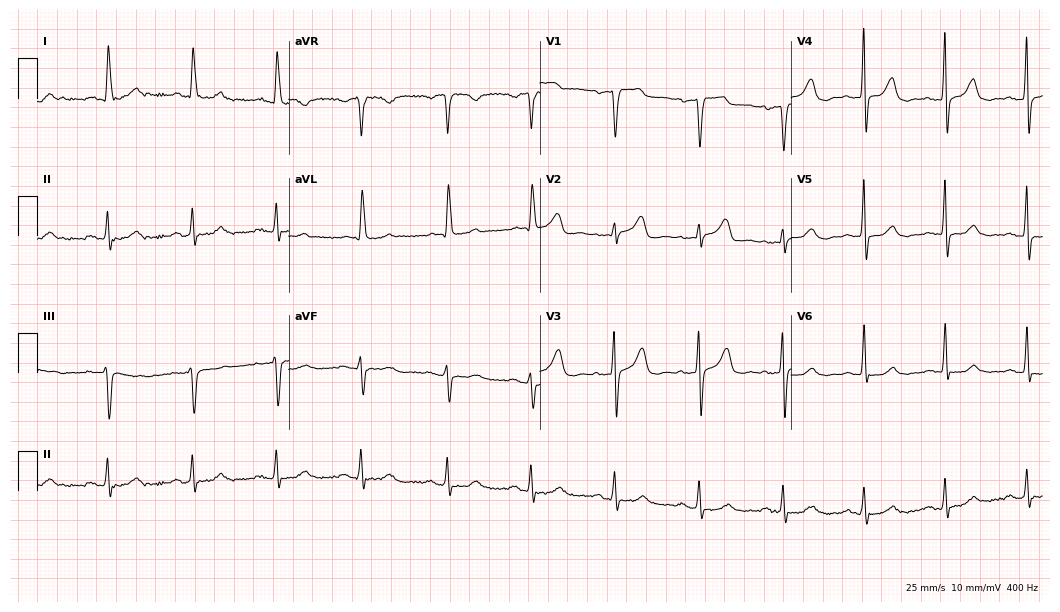
Electrocardiogram, a 60-year-old female. Overall reading on record: normal ECG.